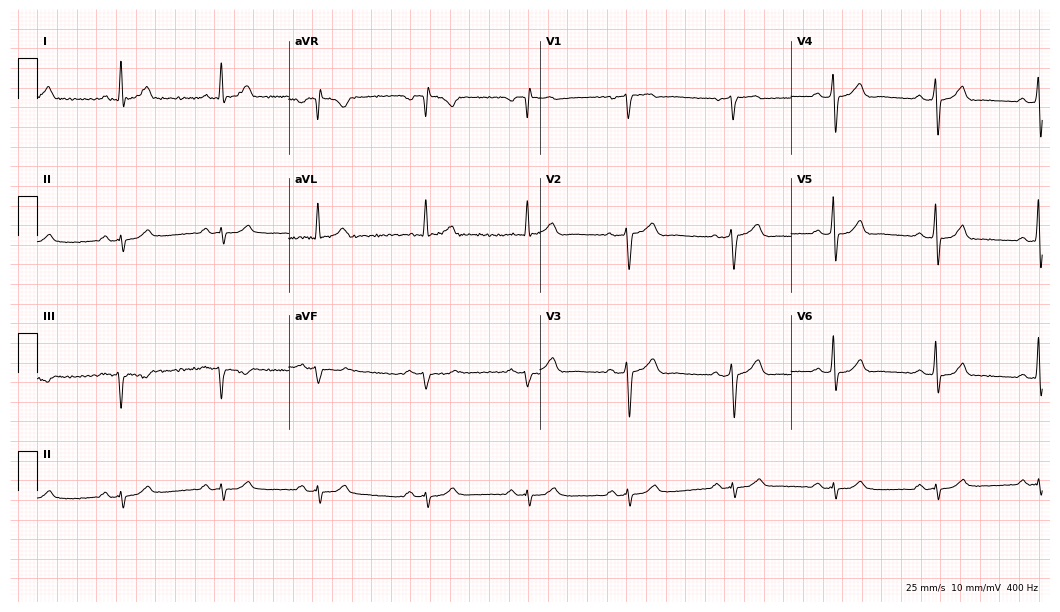
12-lead ECG from a male patient, 62 years old. No first-degree AV block, right bundle branch block, left bundle branch block, sinus bradycardia, atrial fibrillation or sinus tachycardia recorded for this tracing.